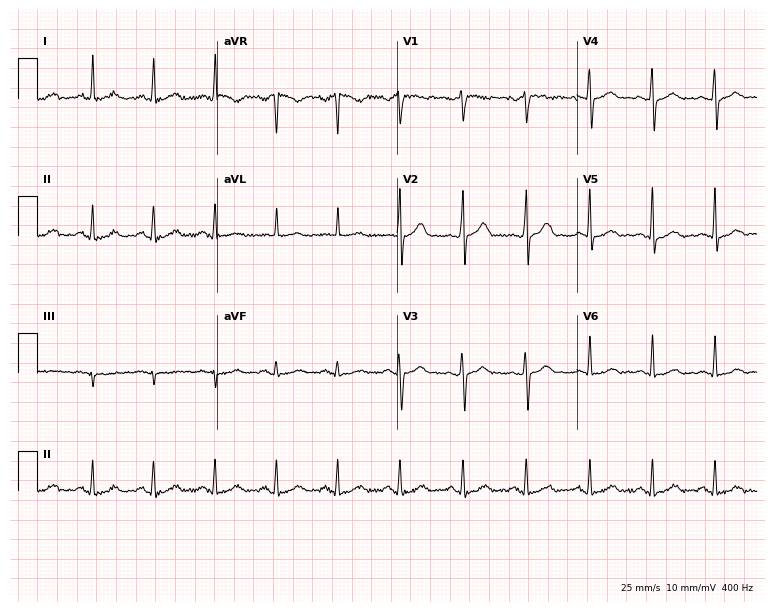
12-lead ECG from an 84-year-old female patient. Labelled as a normal ECG.